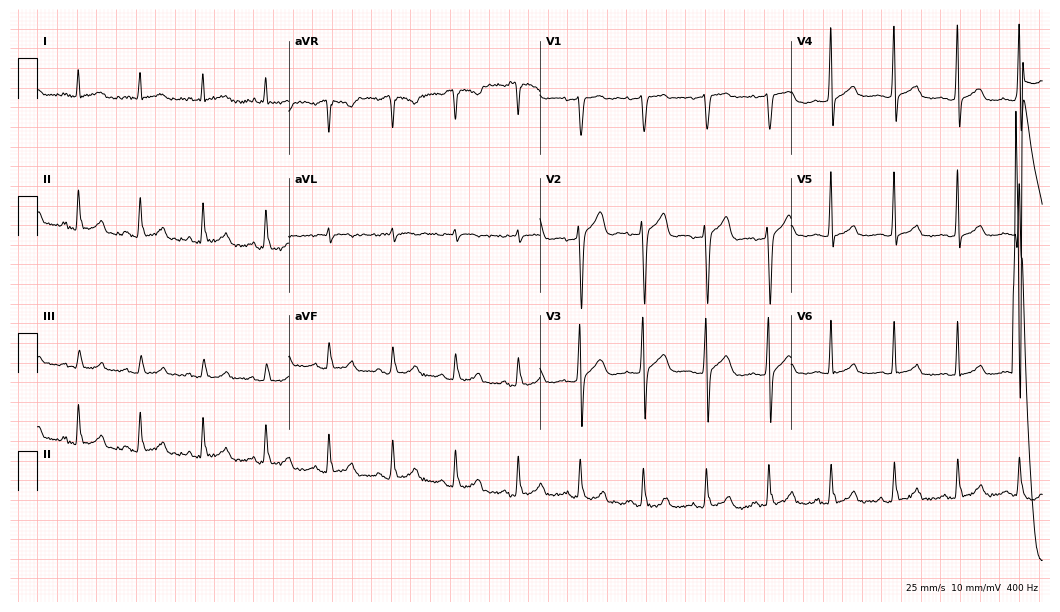
Resting 12-lead electrocardiogram. Patient: a male, 42 years old. Read as a normal ECG.